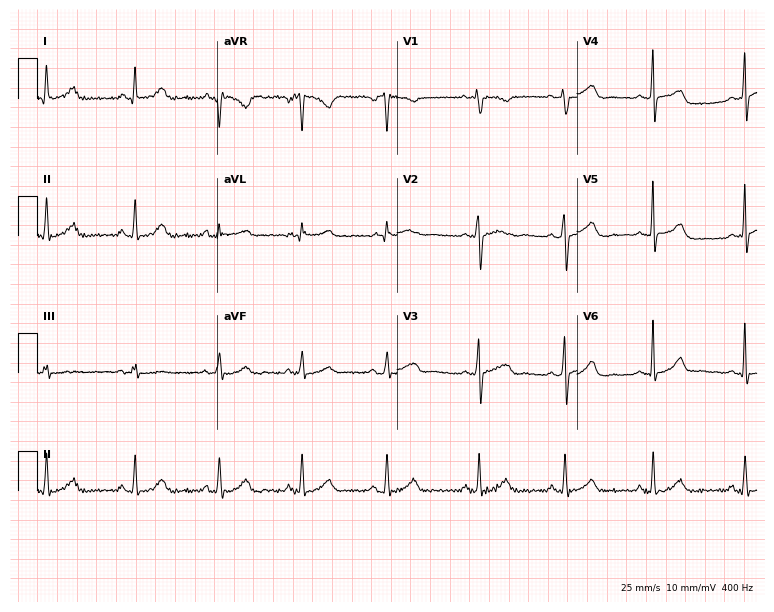
12-lead ECG from a female, 41 years old. Labelled as a normal ECG.